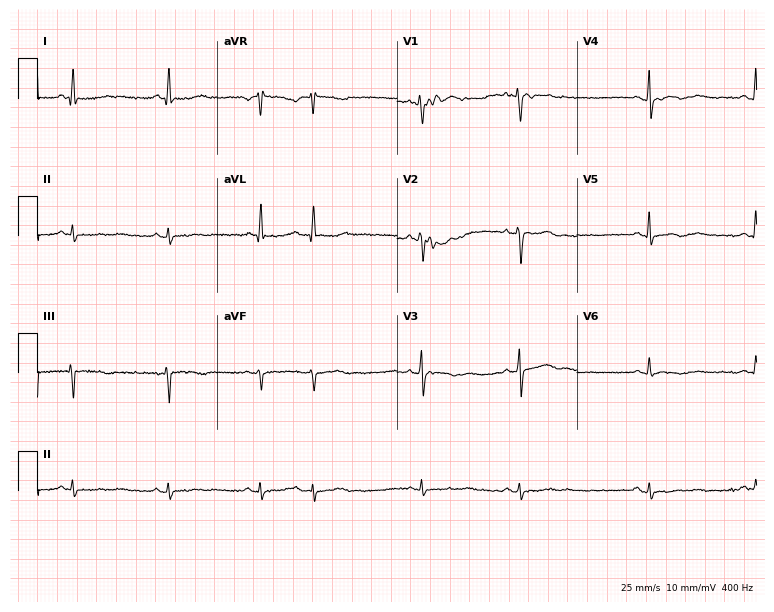
Standard 12-lead ECG recorded from a female, 52 years old (7.3-second recording at 400 Hz). None of these six findings is recorded: first-degree AV block, right bundle branch block, left bundle branch block, sinus bradycardia, atrial fibrillation, sinus tachycardia. Only these six findings were labelled.